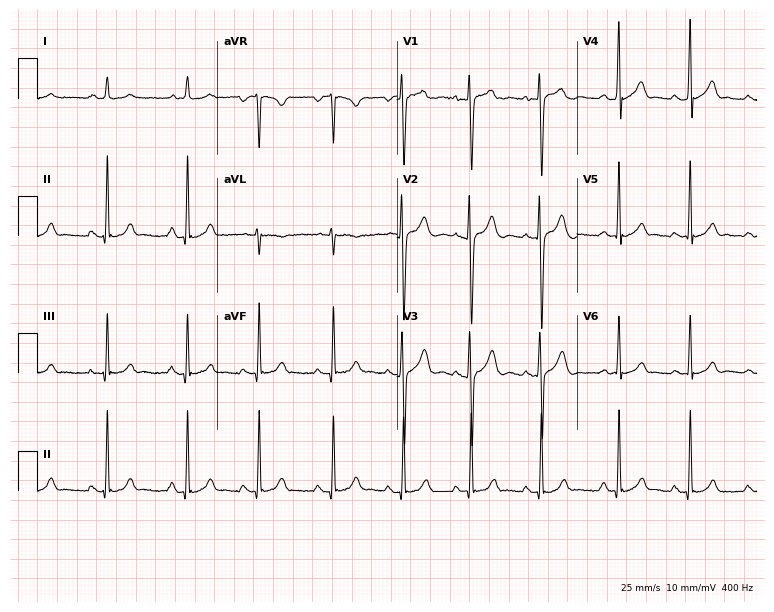
Resting 12-lead electrocardiogram. Patient: a male, 21 years old. Read as a normal ECG.